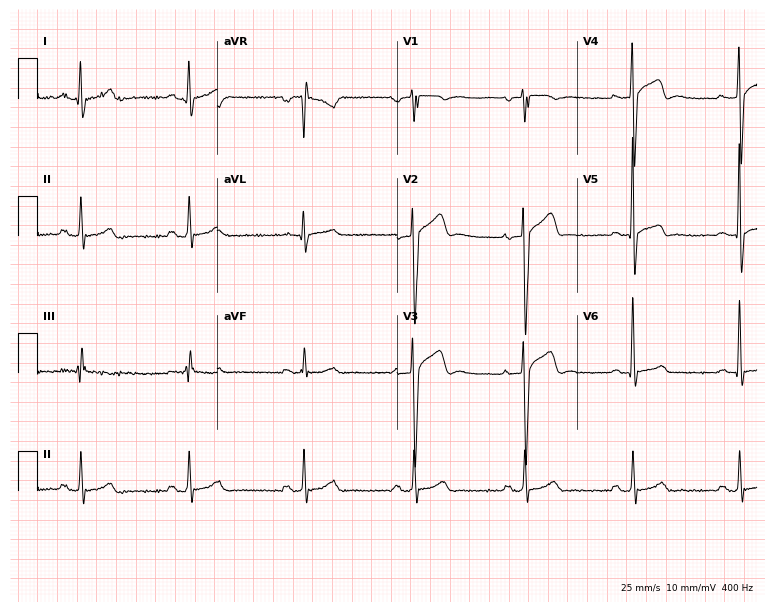
ECG (7.3-second recording at 400 Hz) — a male patient, 33 years old. Labelled as a normal ECG.